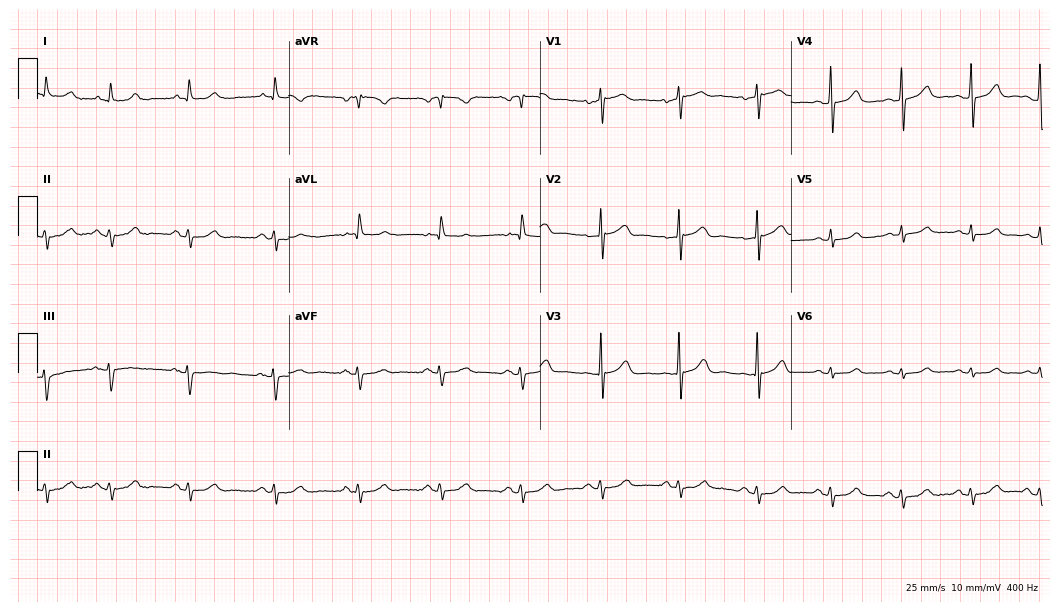
ECG — a 79-year-old female. Labelled as a normal ECG.